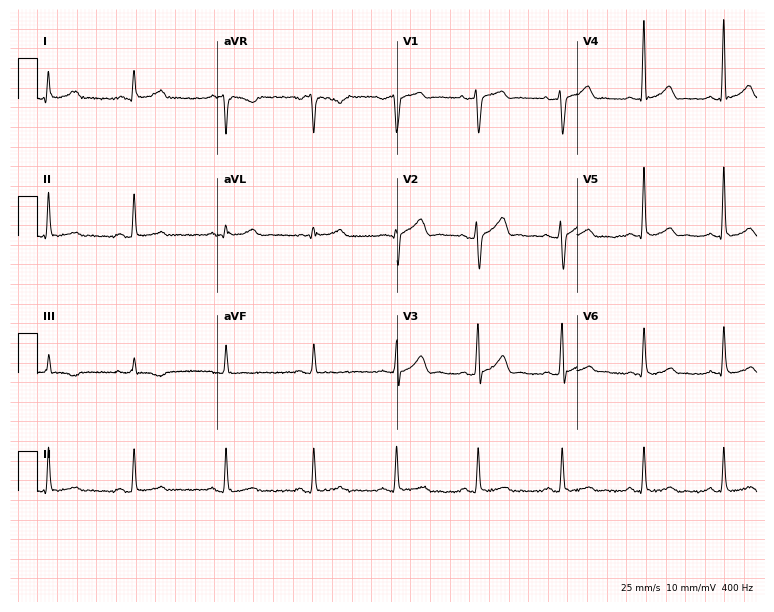
Resting 12-lead electrocardiogram (7.3-second recording at 400 Hz). Patient: a male, 39 years old. Read as a normal ECG.